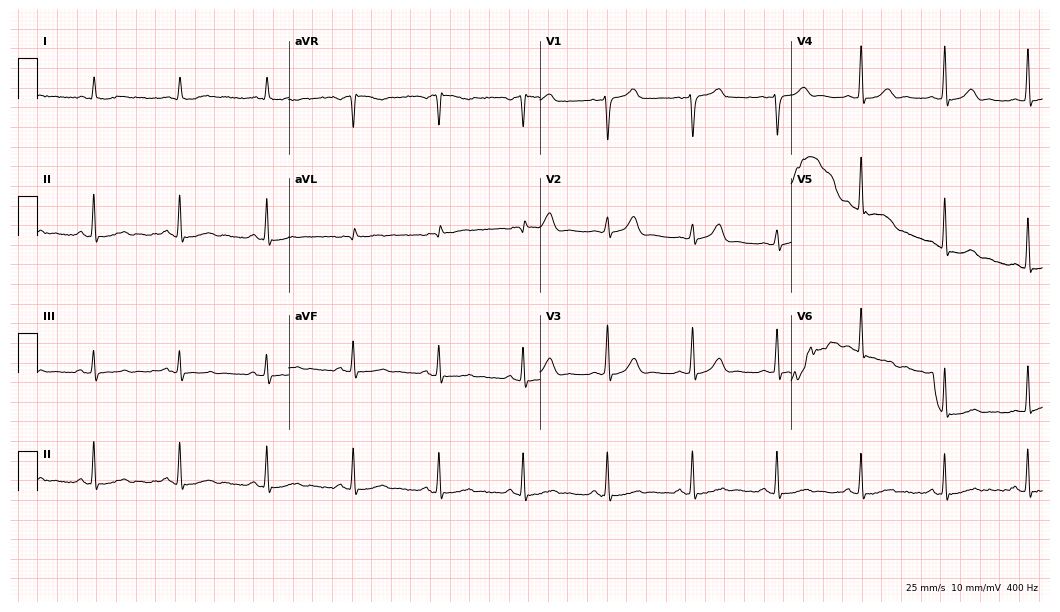
Standard 12-lead ECG recorded from a male patient, 81 years old. Read as a normal ECG.